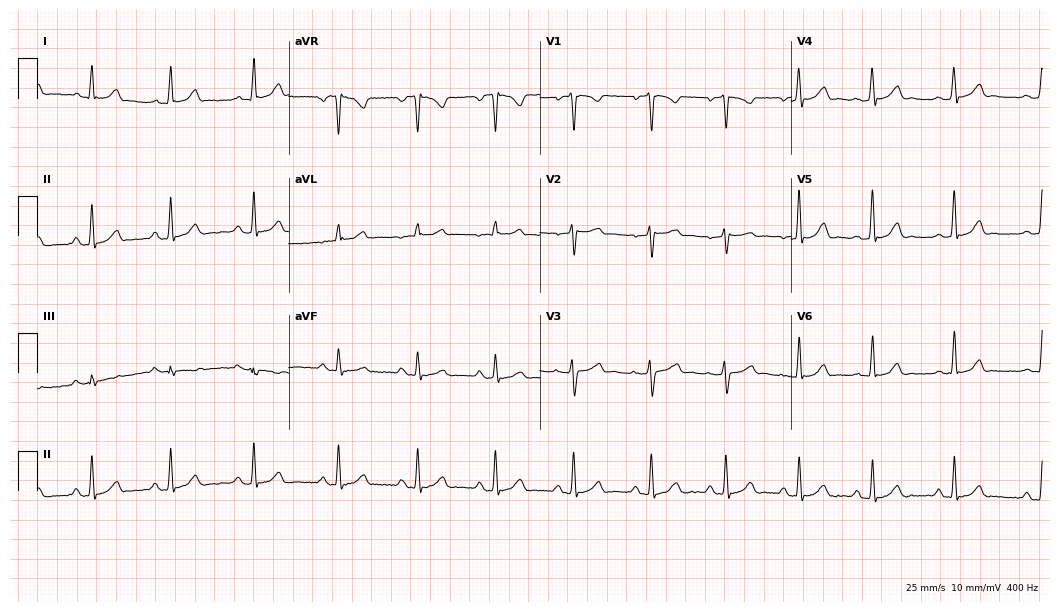
ECG — a 27-year-old woman. Labelled as a normal ECG.